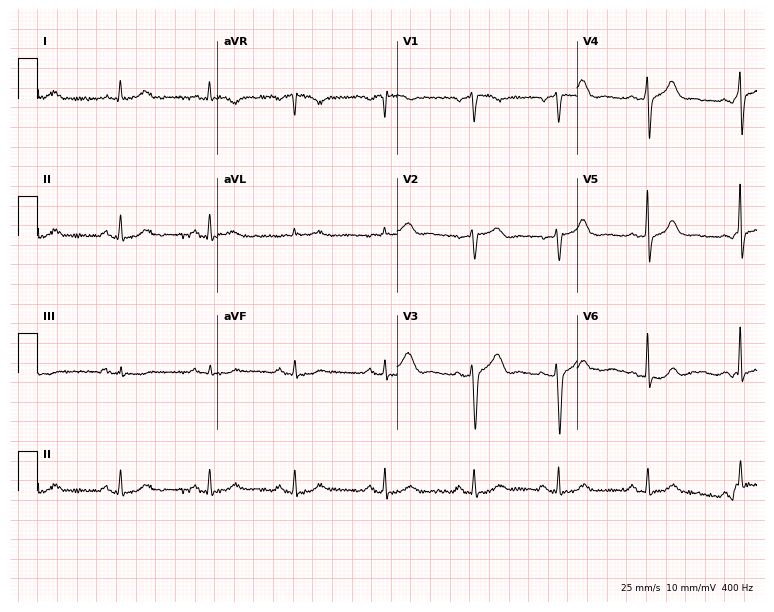
12-lead ECG from a 60-year-old male. No first-degree AV block, right bundle branch block (RBBB), left bundle branch block (LBBB), sinus bradycardia, atrial fibrillation (AF) or sinus tachycardia recorded for this tracing. Other findings, if any, are not listed.